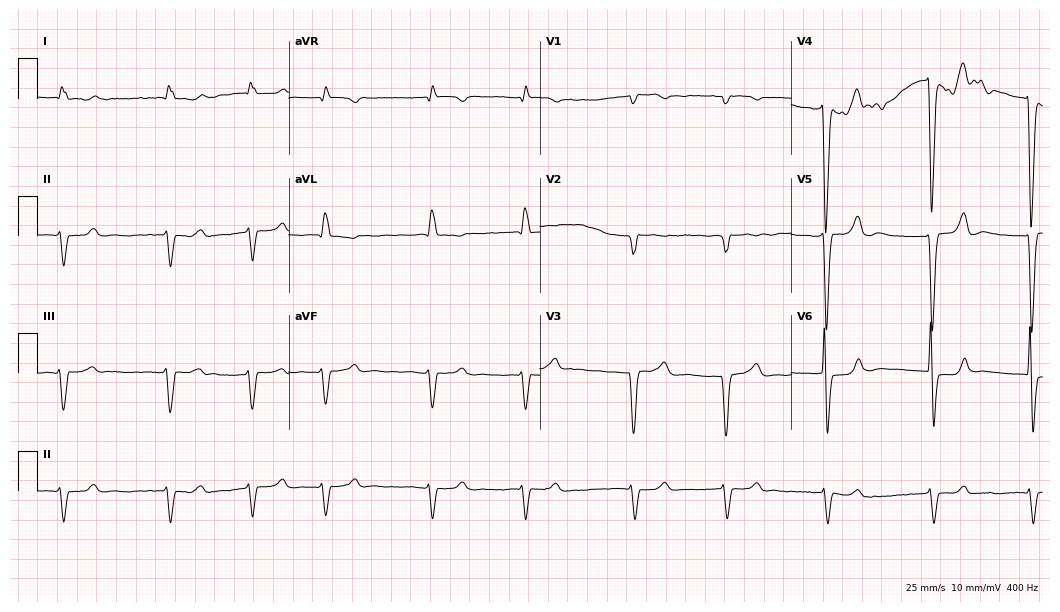
Electrocardiogram (10.2-second recording at 400 Hz), an 84-year-old male. Interpretation includes left bundle branch block, atrial fibrillation.